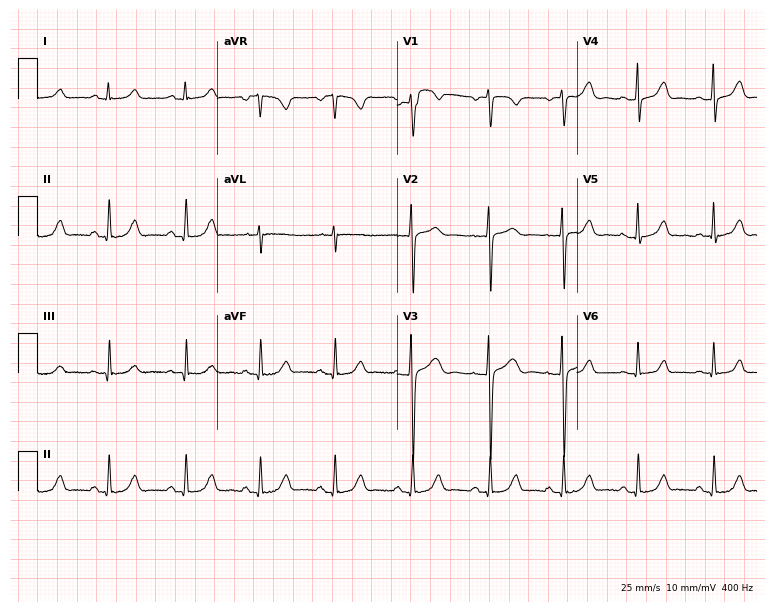
Resting 12-lead electrocardiogram. Patient: a 39-year-old woman. None of these six findings is recorded: first-degree AV block, right bundle branch block (RBBB), left bundle branch block (LBBB), sinus bradycardia, atrial fibrillation (AF), sinus tachycardia.